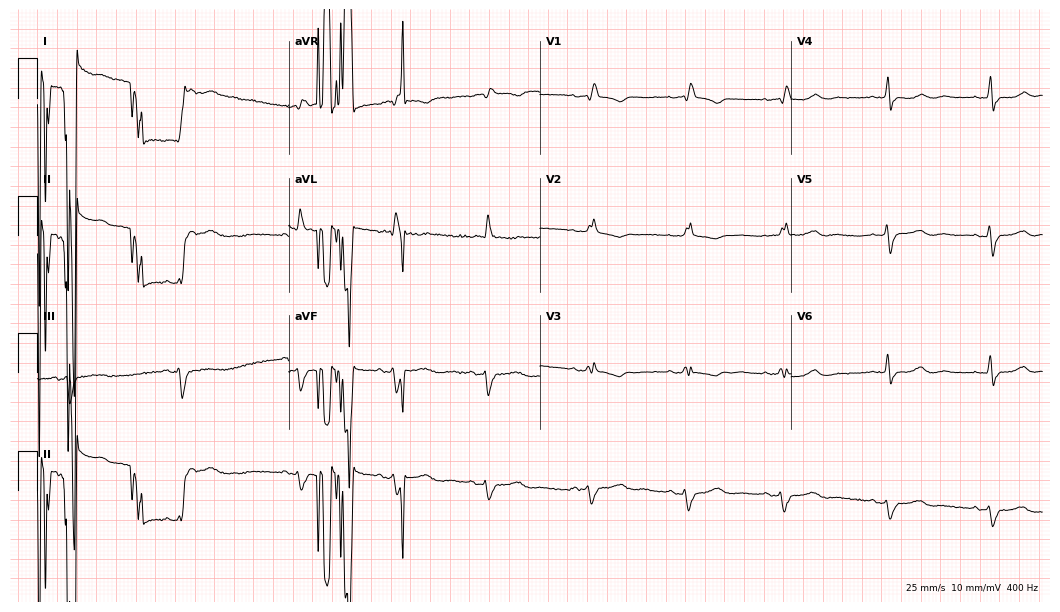
Standard 12-lead ECG recorded from a woman, 67 years old. None of these six findings is recorded: first-degree AV block, right bundle branch block, left bundle branch block, sinus bradycardia, atrial fibrillation, sinus tachycardia.